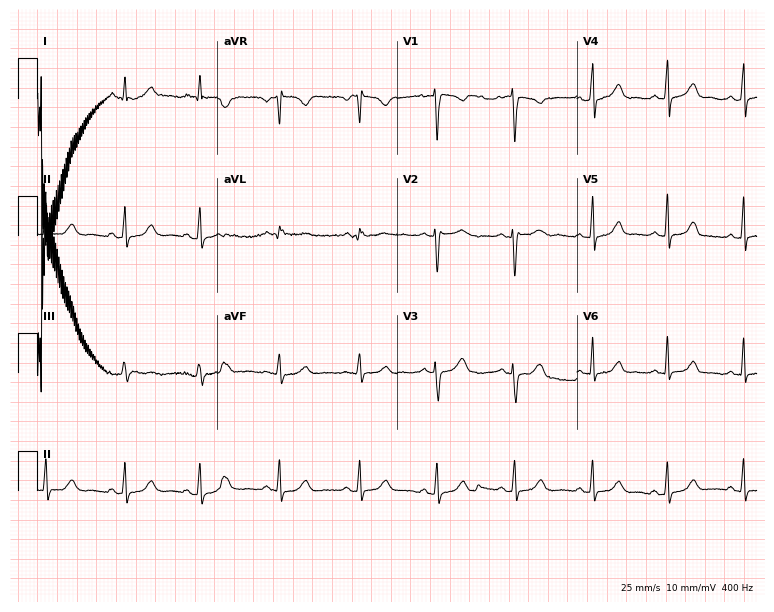
Resting 12-lead electrocardiogram. Patient: a woman, 23 years old. None of these six findings is recorded: first-degree AV block, right bundle branch block, left bundle branch block, sinus bradycardia, atrial fibrillation, sinus tachycardia.